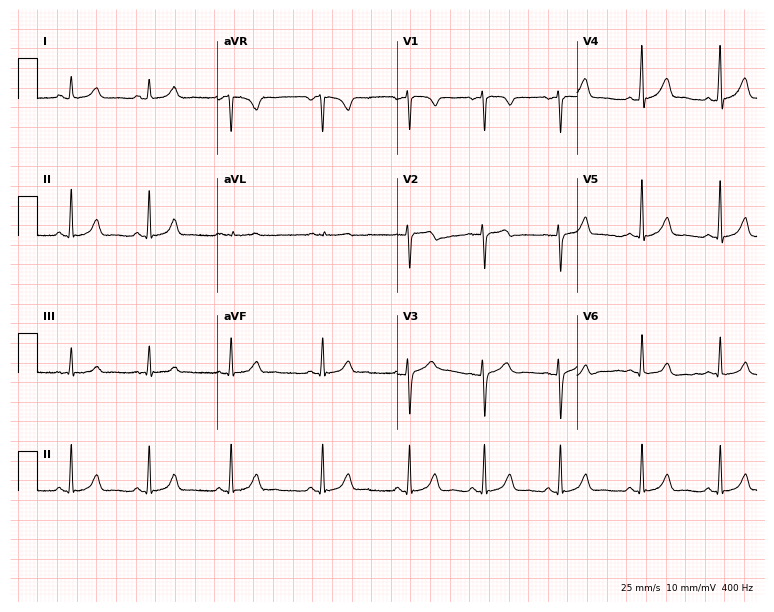
Resting 12-lead electrocardiogram (7.3-second recording at 400 Hz). Patient: a female, 19 years old. None of these six findings is recorded: first-degree AV block, right bundle branch block, left bundle branch block, sinus bradycardia, atrial fibrillation, sinus tachycardia. Only these six findings were labelled.